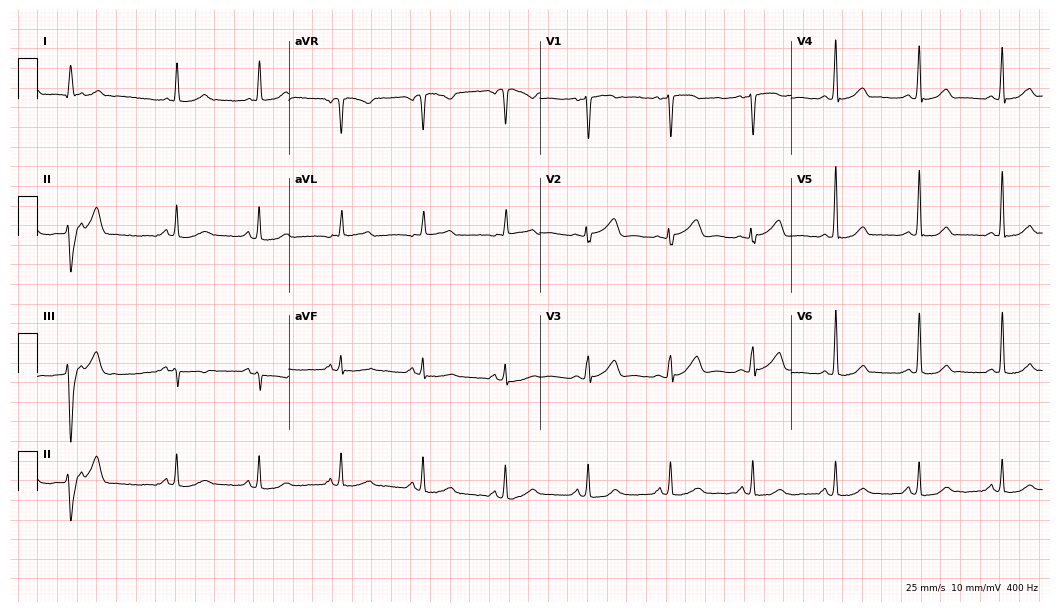
ECG (10.2-second recording at 400 Hz) — a 64-year-old female. Screened for six findings — first-degree AV block, right bundle branch block, left bundle branch block, sinus bradycardia, atrial fibrillation, sinus tachycardia — none is recorded.